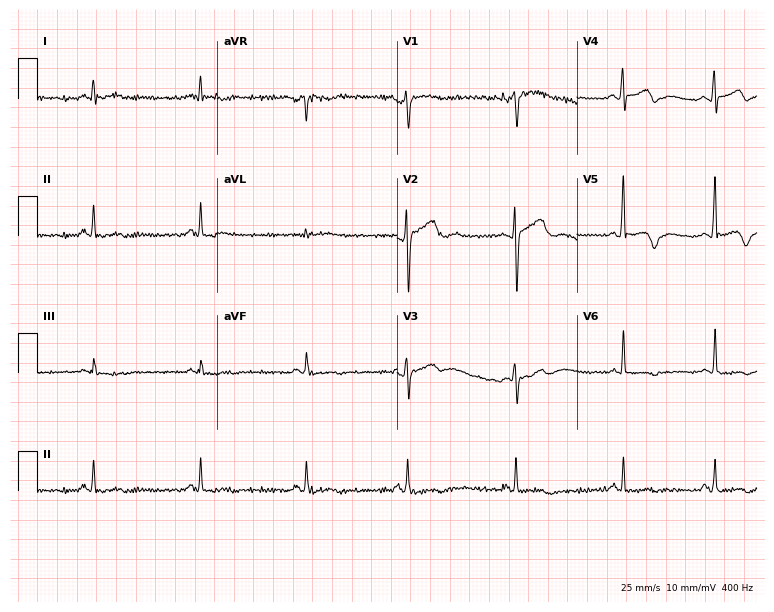
12-lead ECG from a 44-year-old man. Screened for six findings — first-degree AV block, right bundle branch block, left bundle branch block, sinus bradycardia, atrial fibrillation, sinus tachycardia — none is recorded.